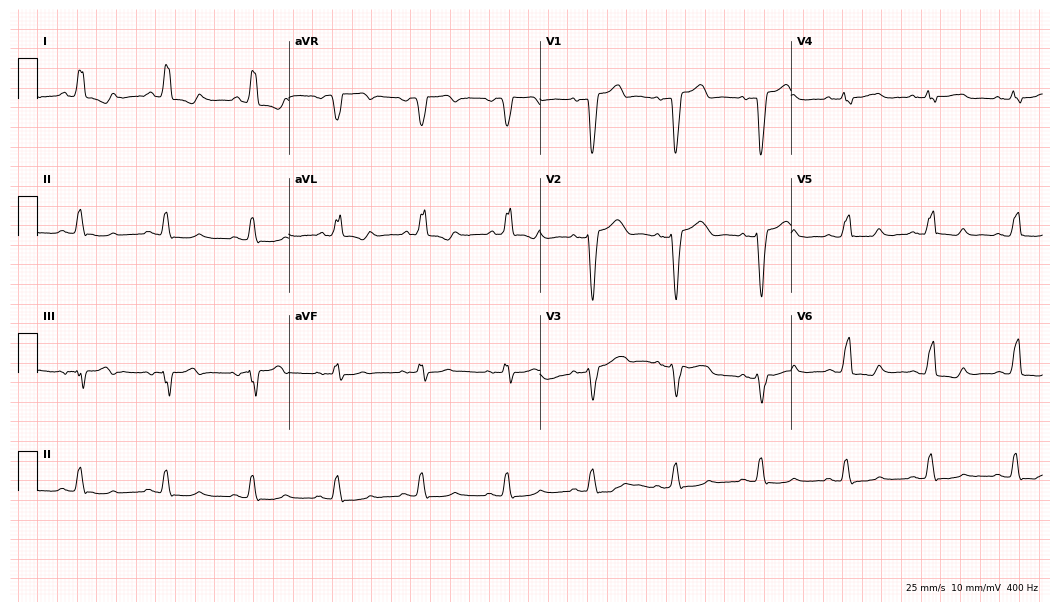
Standard 12-lead ECG recorded from a 67-year-old female patient (10.2-second recording at 400 Hz). The tracing shows left bundle branch block (LBBB).